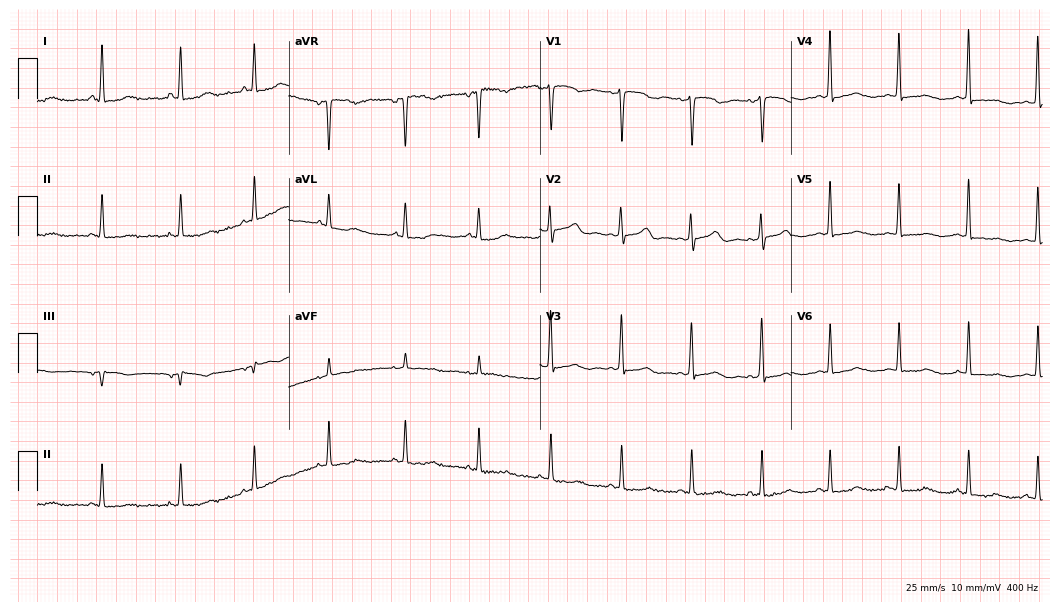
12-lead ECG (10.2-second recording at 400 Hz) from a 52-year-old female patient. Screened for six findings — first-degree AV block, right bundle branch block, left bundle branch block, sinus bradycardia, atrial fibrillation, sinus tachycardia — none is recorded.